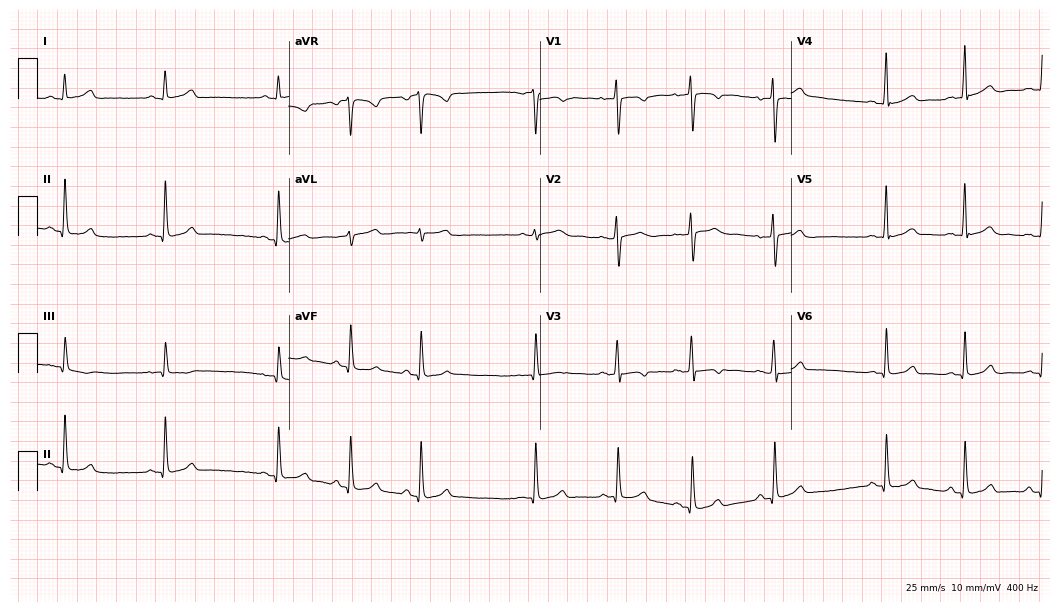
Resting 12-lead electrocardiogram (10.2-second recording at 400 Hz). Patient: a 27-year-old female. Read as a normal ECG.